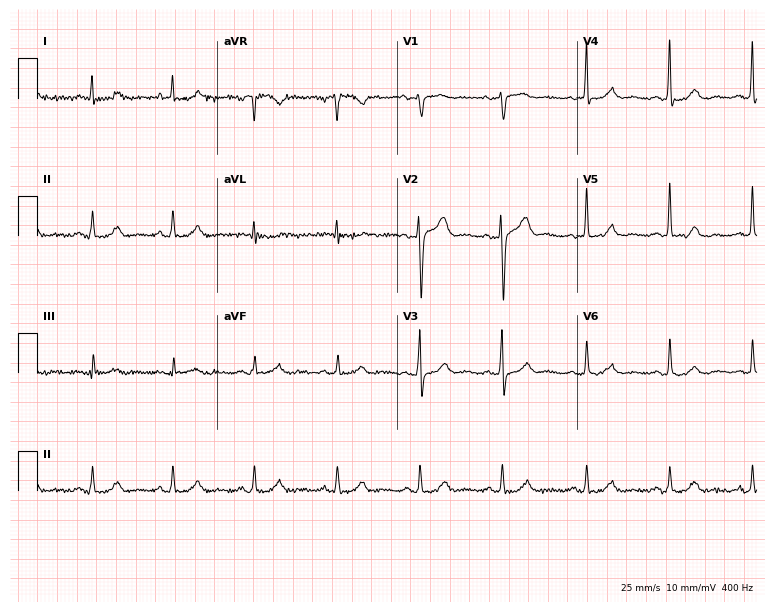
Standard 12-lead ECG recorded from a man, 67 years old. None of these six findings is recorded: first-degree AV block, right bundle branch block, left bundle branch block, sinus bradycardia, atrial fibrillation, sinus tachycardia.